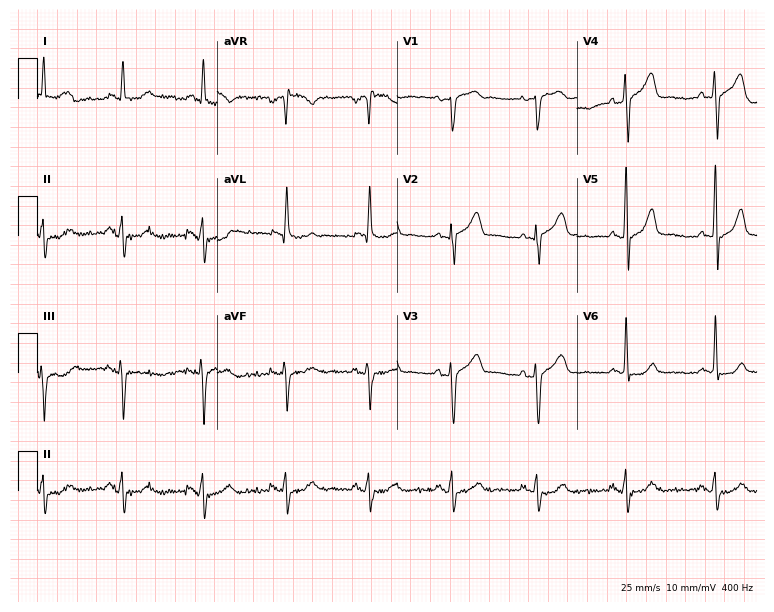
Resting 12-lead electrocardiogram (7.3-second recording at 400 Hz). Patient: a 47-year-old man. None of these six findings is recorded: first-degree AV block, right bundle branch block, left bundle branch block, sinus bradycardia, atrial fibrillation, sinus tachycardia. Other findings, if any, are not listed.